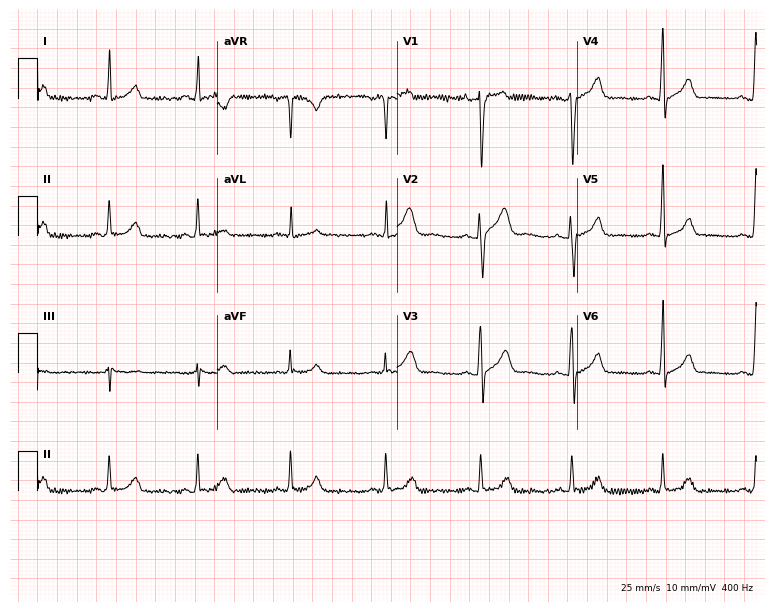
Standard 12-lead ECG recorded from a male, 31 years old. None of these six findings is recorded: first-degree AV block, right bundle branch block (RBBB), left bundle branch block (LBBB), sinus bradycardia, atrial fibrillation (AF), sinus tachycardia.